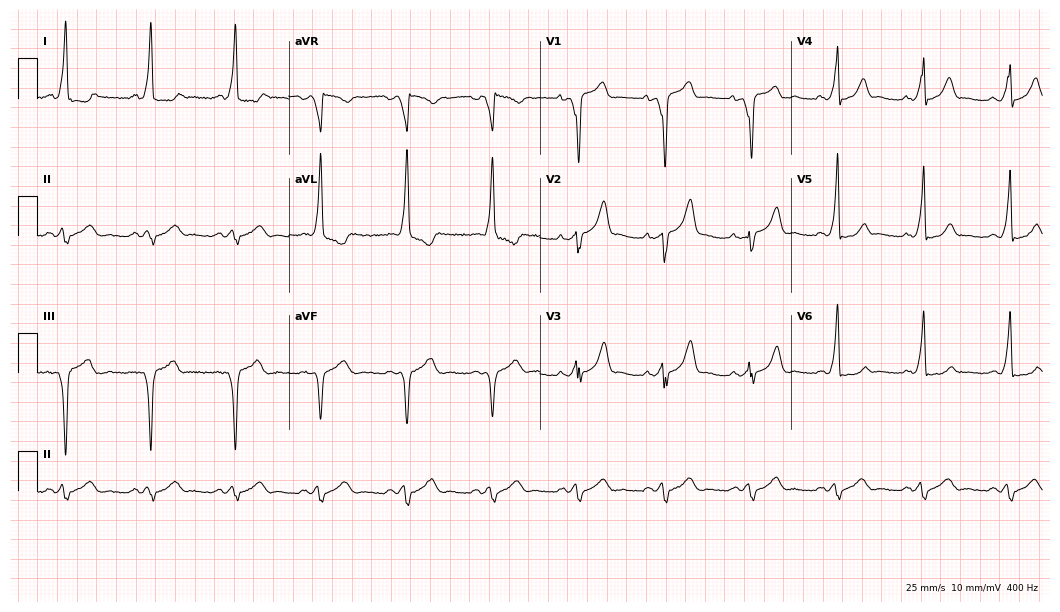
12-lead ECG from a male, 50 years old (10.2-second recording at 400 Hz). No first-degree AV block, right bundle branch block, left bundle branch block, sinus bradycardia, atrial fibrillation or sinus tachycardia recorded for this tracing.